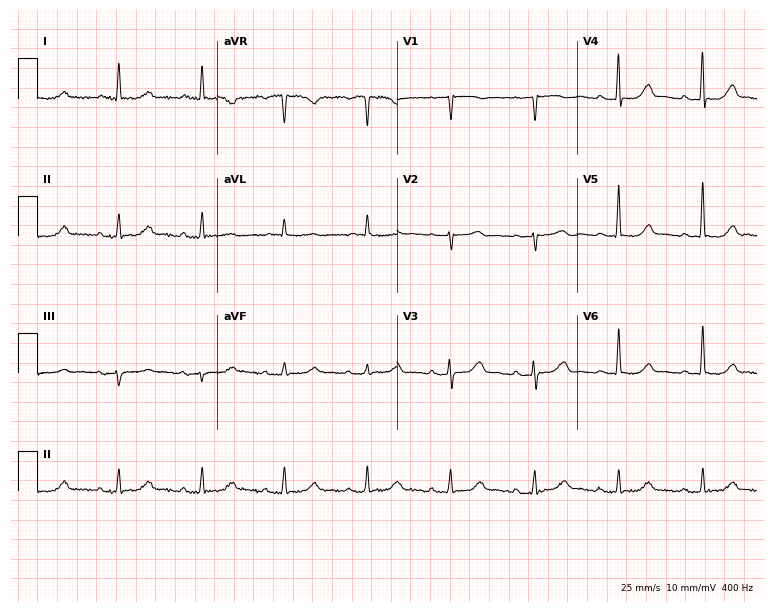
ECG — a female, 80 years old. Labelled as a normal ECG.